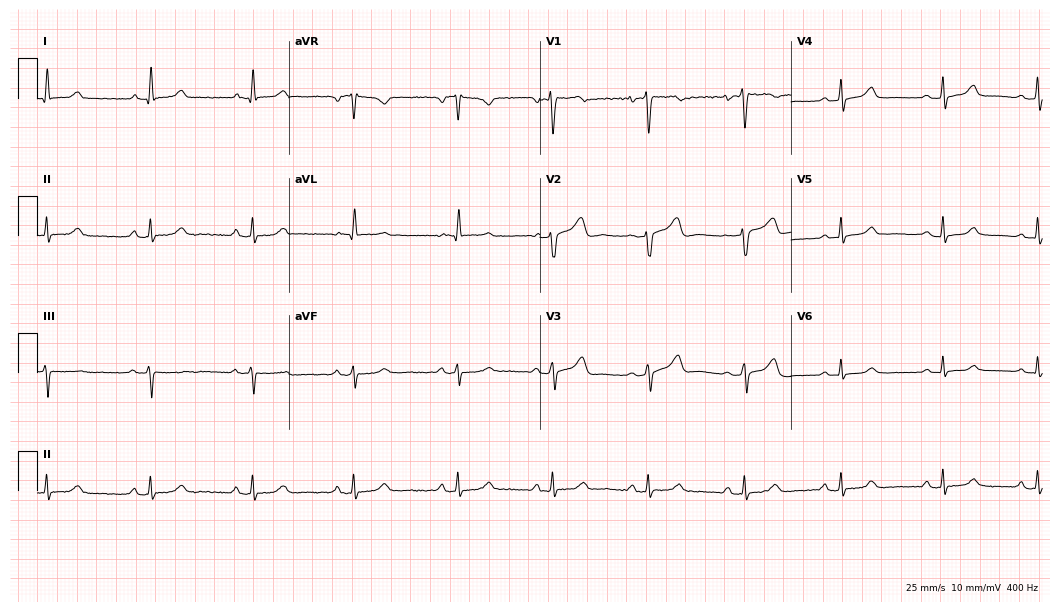
12-lead ECG from a 60-year-old woman. Labelled as a normal ECG.